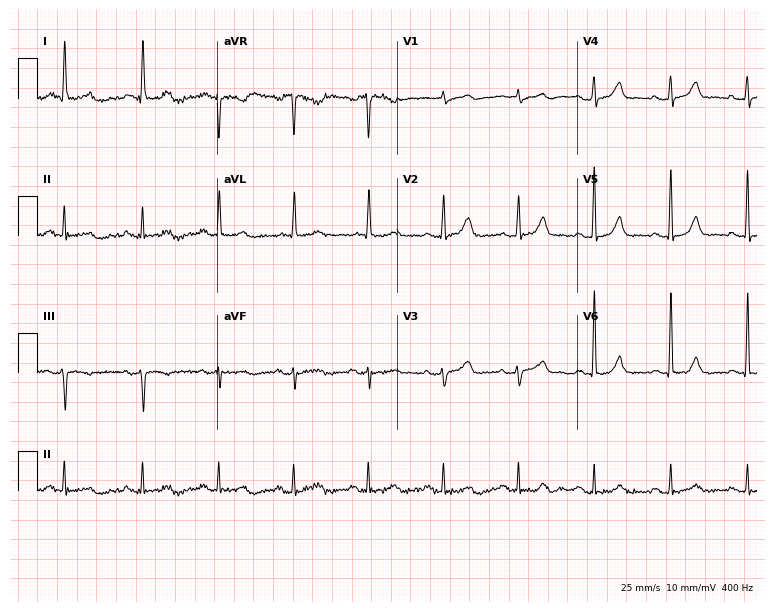
12-lead ECG from a 77-year-old female. Recorded interpretation: within normal limits.